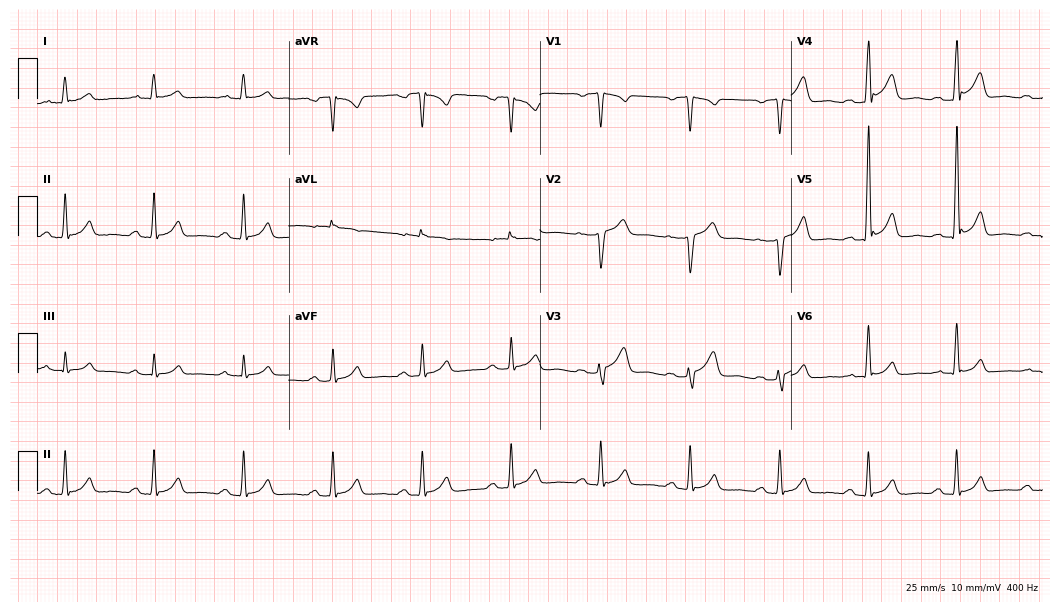
Standard 12-lead ECG recorded from a male patient, 62 years old. Read as a normal ECG.